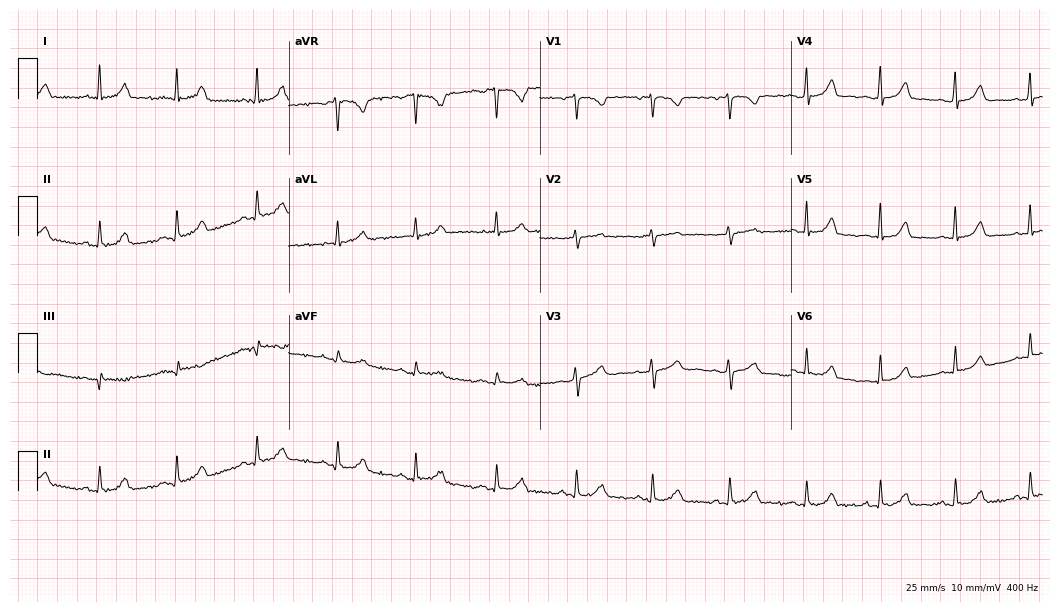
Standard 12-lead ECG recorded from a 43-year-old female. Read as a normal ECG.